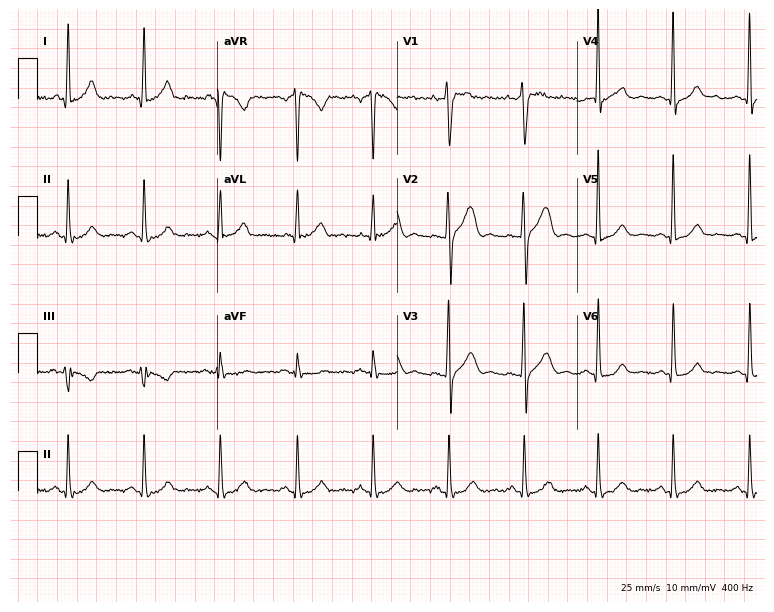
Standard 12-lead ECG recorded from a man, 44 years old. Read as a normal ECG.